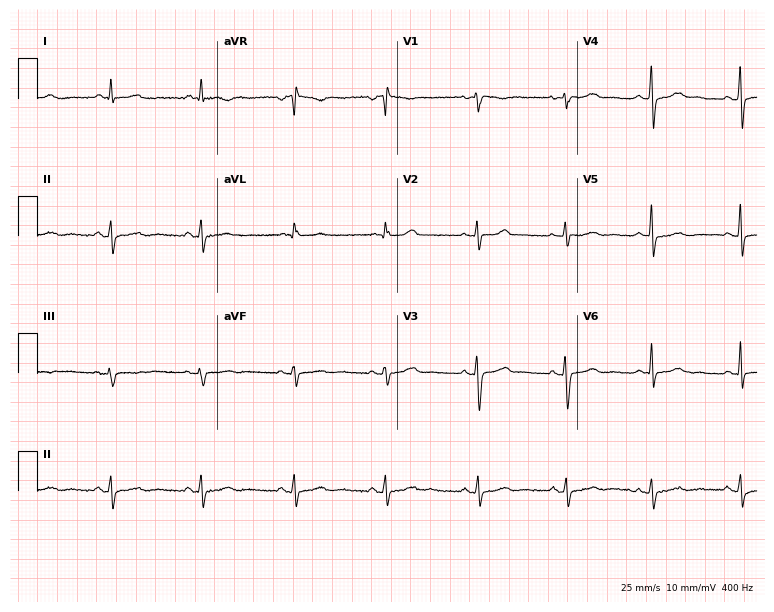
Electrocardiogram (7.3-second recording at 400 Hz), a 42-year-old female patient. Of the six screened findings (first-degree AV block, right bundle branch block, left bundle branch block, sinus bradycardia, atrial fibrillation, sinus tachycardia), none is recorded. Other findings, if any, are not listed.